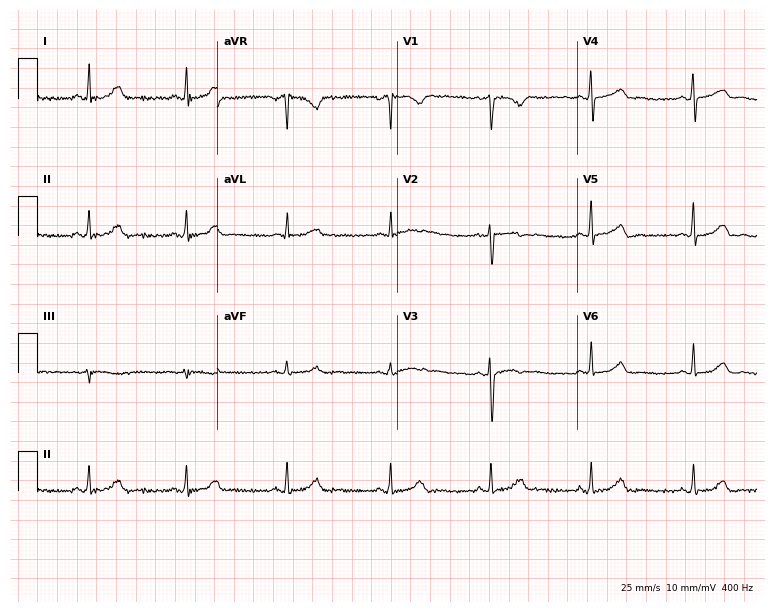
12-lead ECG from a female, 40 years old. Screened for six findings — first-degree AV block, right bundle branch block, left bundle branch block, sinus bradycardia, atrial fibrillation, sinus tachycardia — none is recorded. Other findings, if any, are not listed.